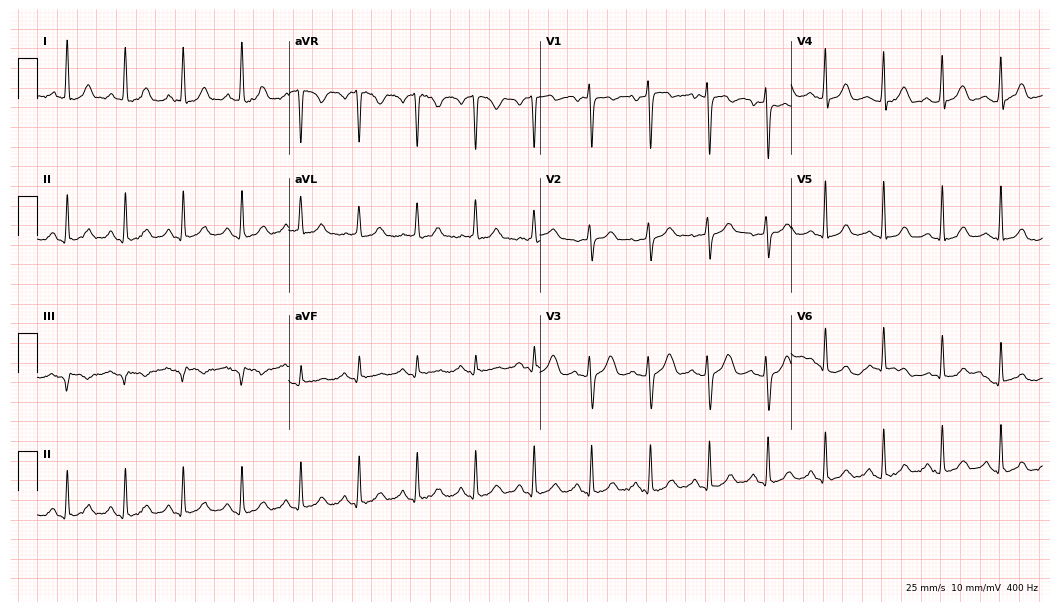
12-lead ECG from a 44-year-old female (10.2-second recording at 400 Hz). Shows sinus tachycardia (a sinus rate of 100 beats per minute or more).